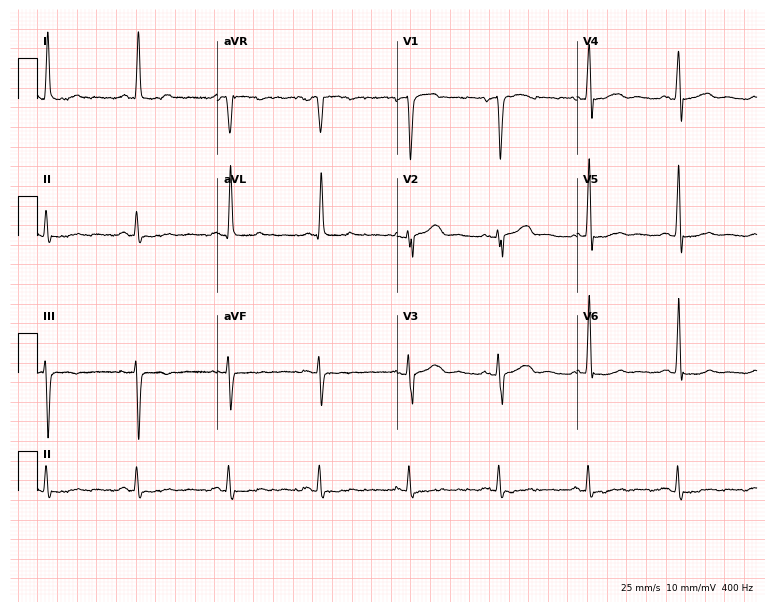
12-lead ECG from a 76-year-old female patient. Screened for six findings — first-degree AV block, right bundle branch block, left bundle branch block, sinus bradycardia, atrial fibrillation, sinus tachycardia — none is recorded.